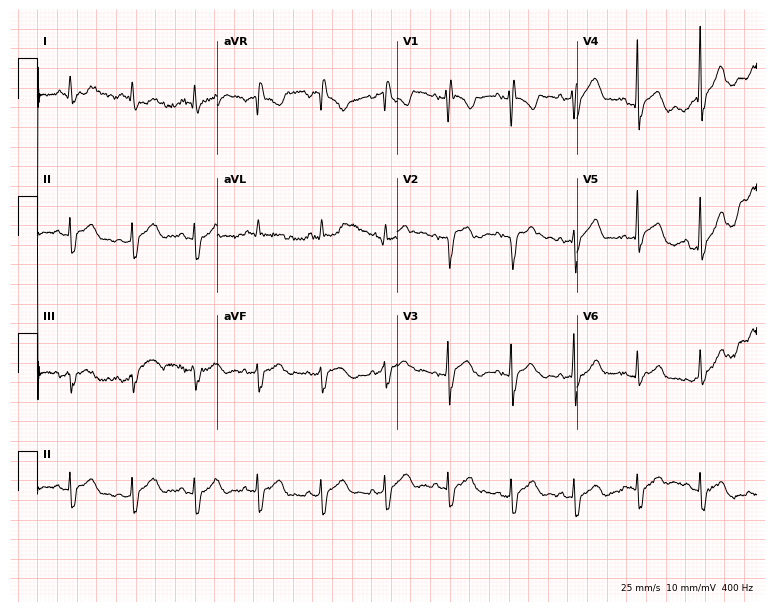
ECG (7.3-second recording at 400 Hz) — a male, 35 years old. Screened for six findings — first-degree AV block, right bundle branch block (RBBB), left bundle branch block (LBBB), sinus bradycardia, atrial fibrillation (AF), sinus tachycardia — none is recorded.